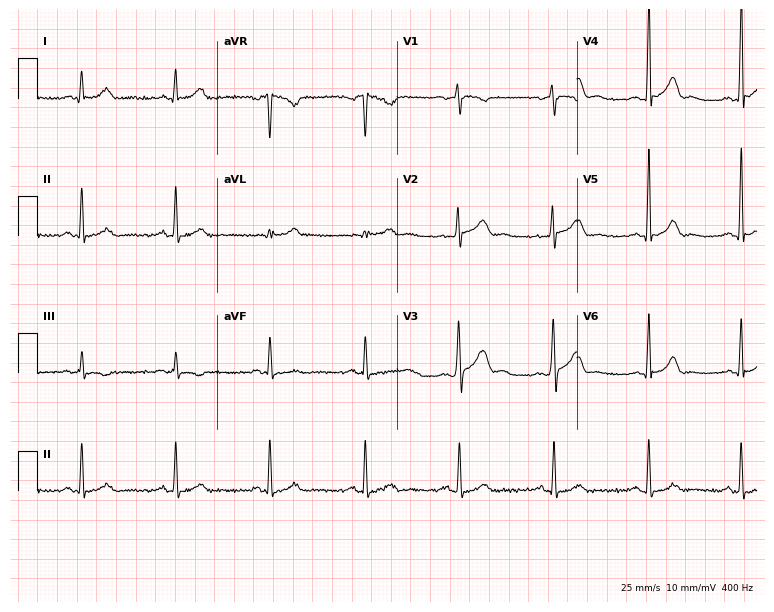
12-lead ECG from a male patient, 37 years old (7.3-second recording at 400 Hz). Recorded interpretation: within normal limits.